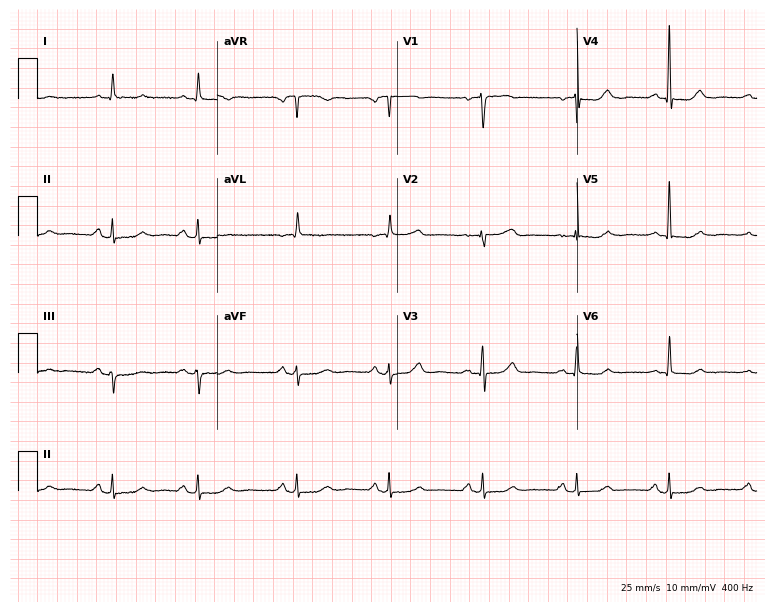
Resting 12-lead electrocardiogram. Patient: a female, 60 years old. None of these six findings is recorded: first-degree AV block, right bundle branch block, left bundle branch block, sinus bradycardia, atrial fibrillation, sinus tachycardia. Other findings, if any, are not listed.